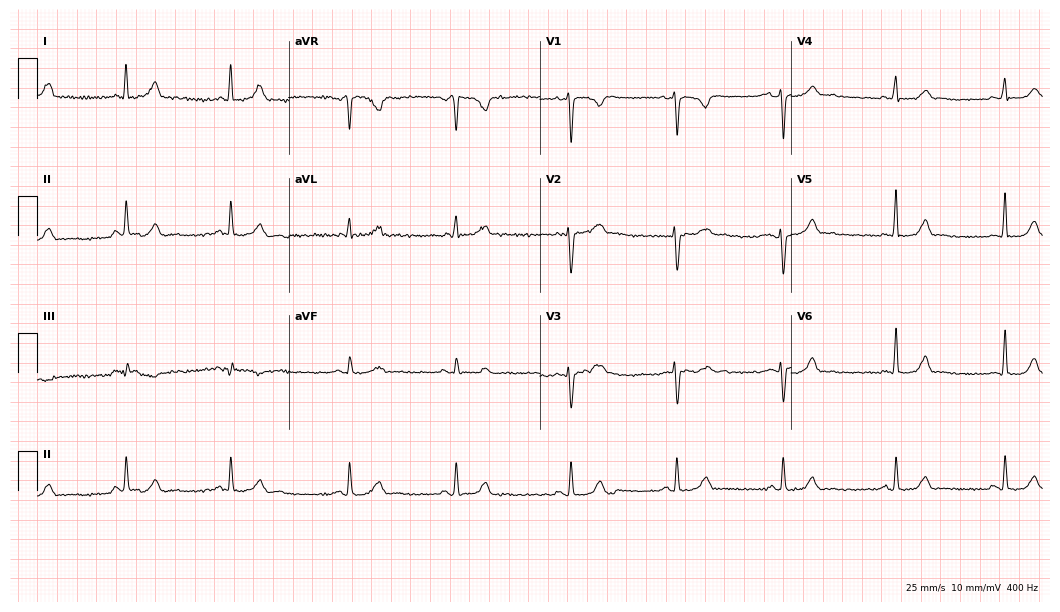
12-lead ECG from a 33-year-old female patient. Recorded interpretation: within normal limits.